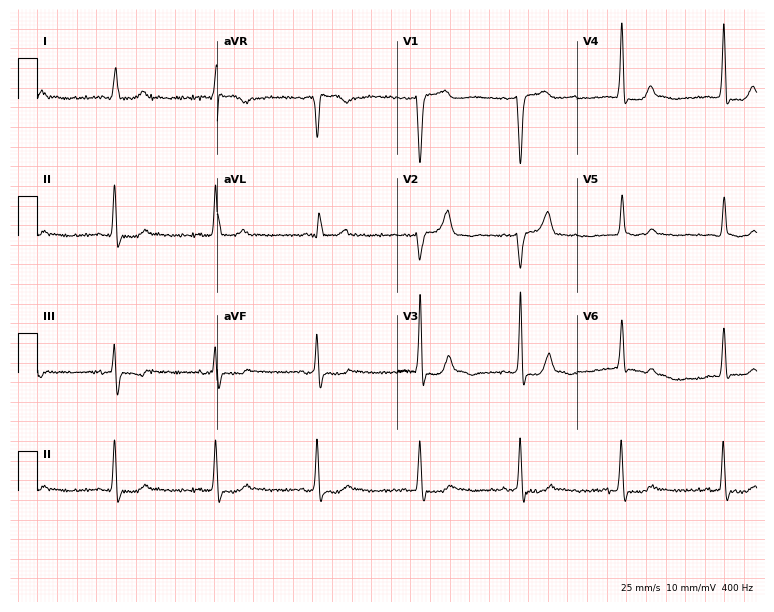
Electrocardiogram, an 84-year-old woman. Of the six screened findings (first-degree AV block, right bundle branch block (RBBB), left bundle branch block (LBBB), sinus bradycardia, atrial fibrillation (AF), sinus tachycardia), none is recorded. Other findings, if any, are not listed.